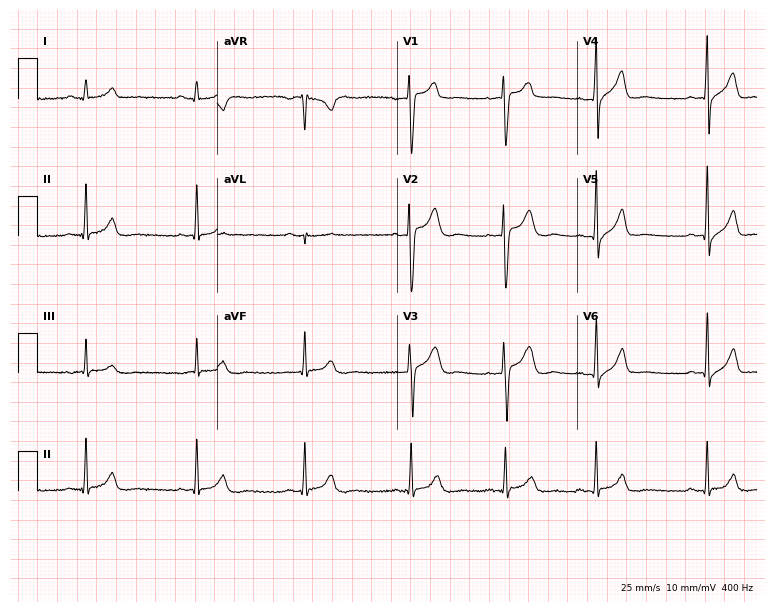
12-lead ECG from a 22-year-old male patient. No first-degree AV block, right bundle branch block, left bundle branch block, sinus bradycardia, atrial fibrillation or sinus tachycardia recorded for this tracing. Only these six findings were labelled.